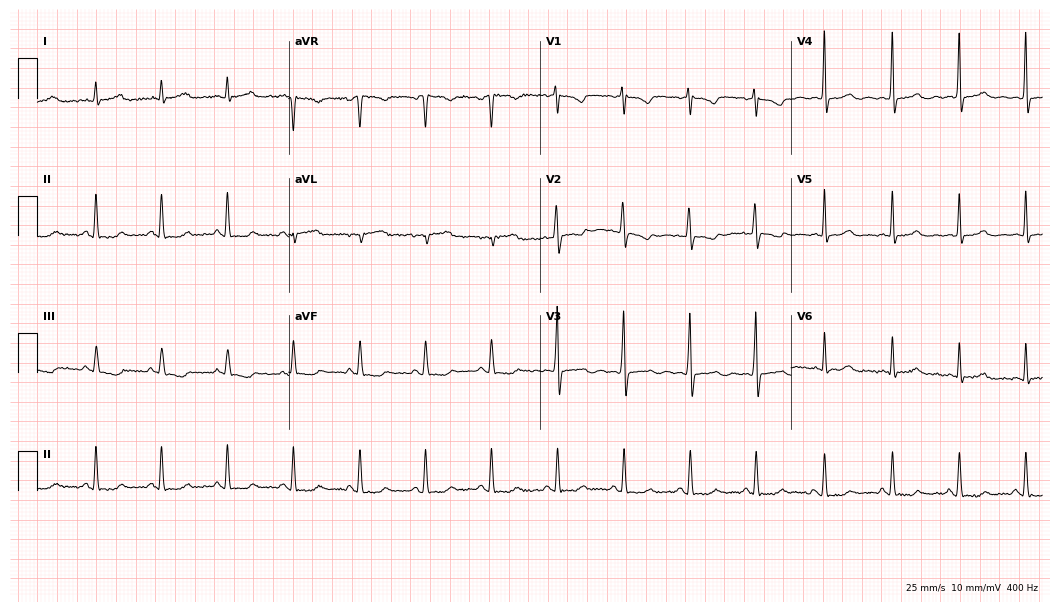
12-lead ECG from a 40-year-old woman. Recorded interpretation: within normal limits.